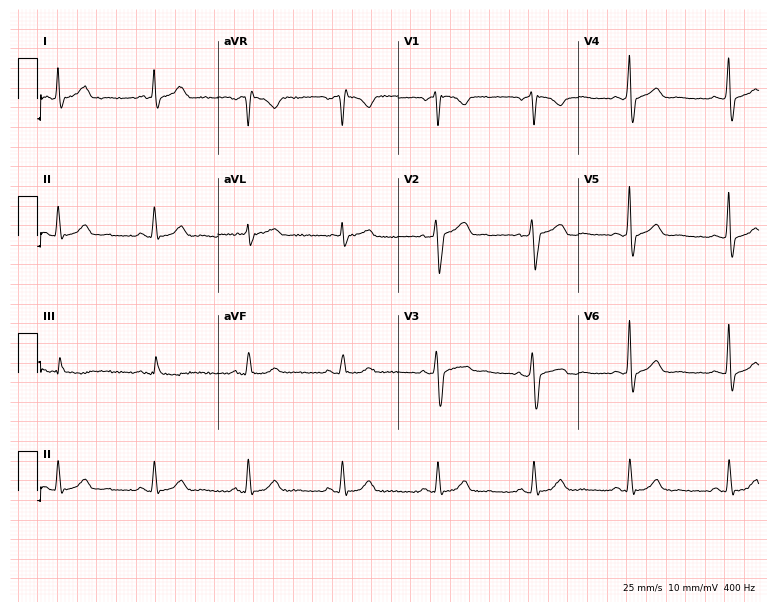
Standard 12-lead ECG recorded from a 50-year-old man (7.4-second recording at 400 Hz). None of these six findings is recorded: first-degree AV block, right bundle branch block, left bundle branch block, sinus bradycardia, atrial fibrillation, sinus tachycardia. Other findings, if any, are not listed.